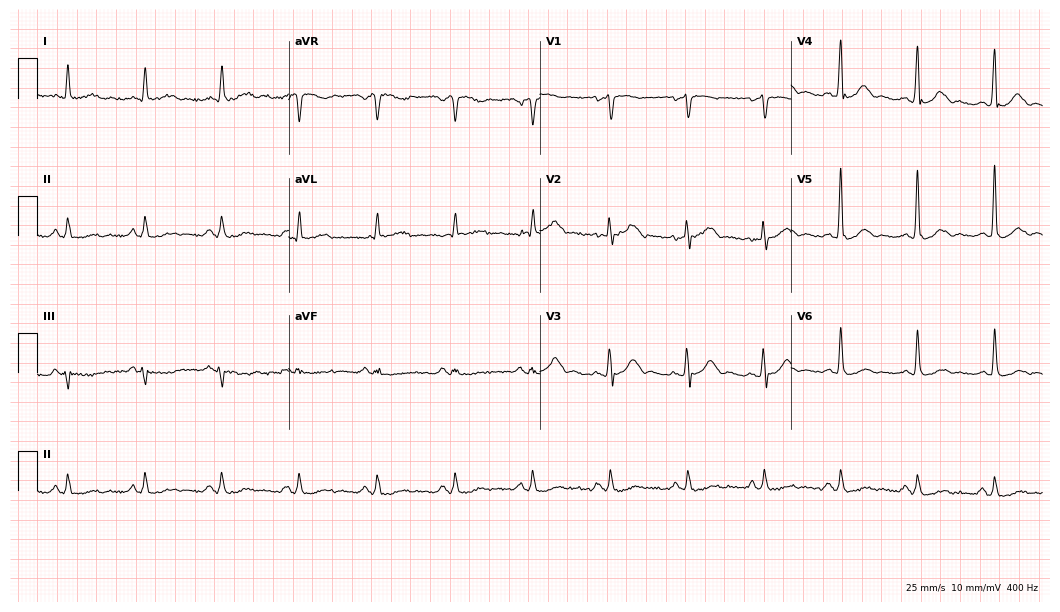
12-lead ECG (10.2-second recording at 400 Hz) from a male patient, 77 years old. Labelled as a normal ECG.